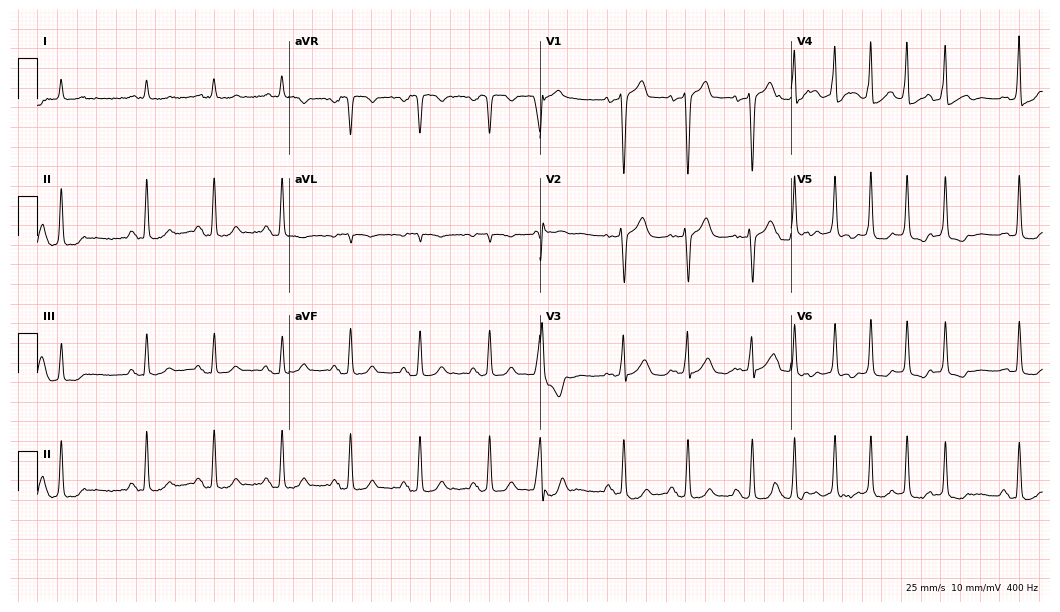
ECG (10.2-second recording at 400 Hz) — a 72-year-old male patient. Screened for six findings — first-degree AV block, right bundle branch block, left bundle branch block, sinus bradycardia, atrial fibrillation, sinus tachycardia — none is recorded. Only these six findings were labelled.